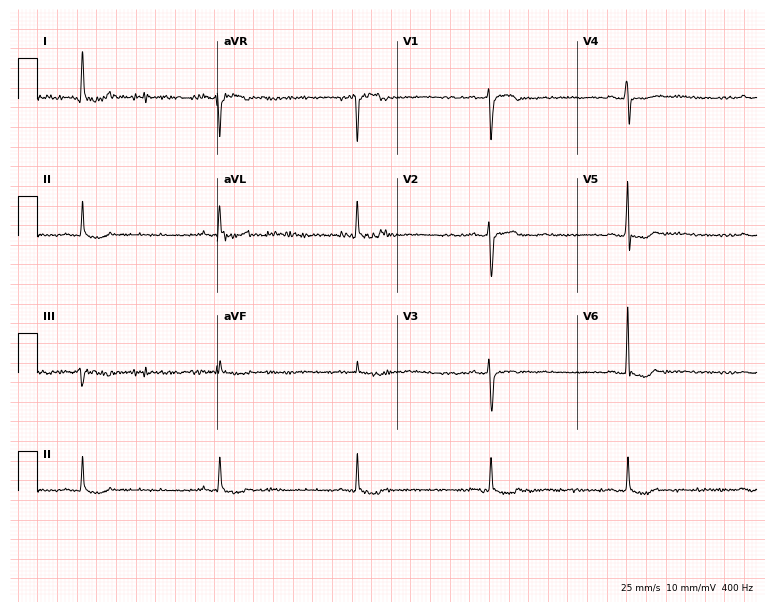
ECG — a woman, 67 years old. Screened for six findings — first-degree AV block, right bundle branch block, left bundle branch block, sinus bradycardia, atrial fibrillation, sinus tachycardia — none is recorded.